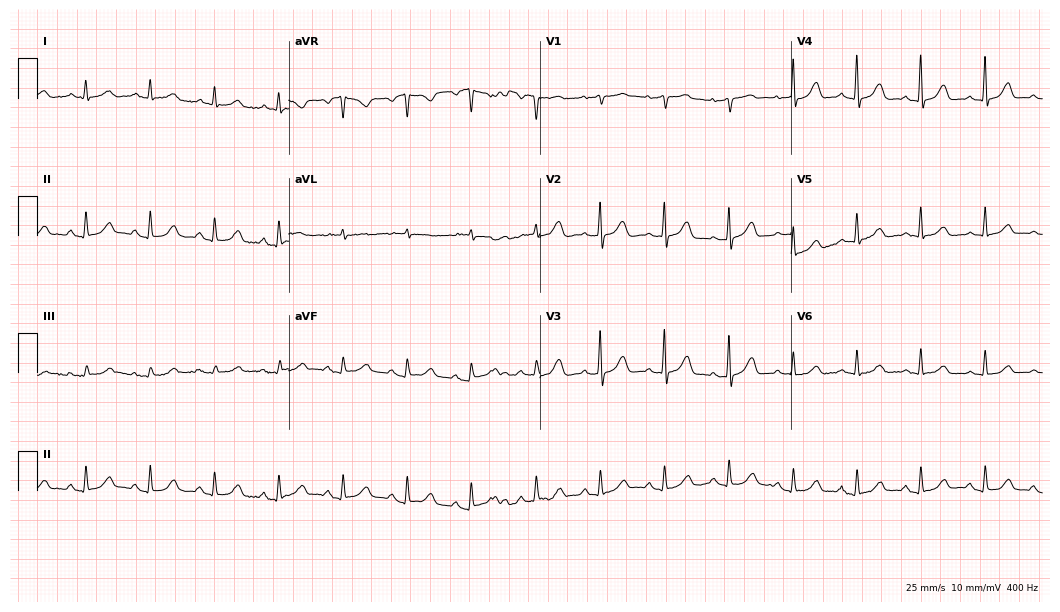
Standard 12-lead ECG recorded from a 68-year-old woman. Read as a normal ECG.